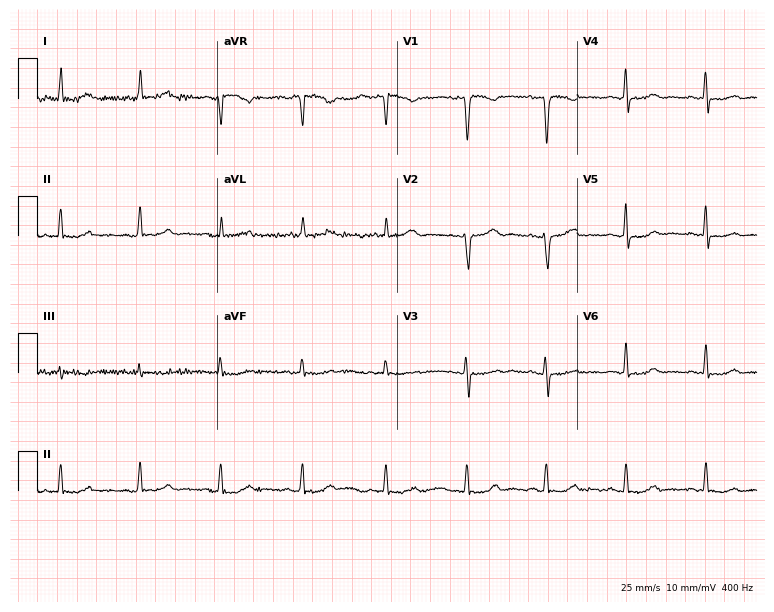
12-lead ECG from a 41-year-old female. Screened for six findings — first-degree AV block, right bundle branch block, left bundle branch block, sinus bradycardia, atrial fibrillation, sinus tachycardia — none is recorded. Other findings, if any, are not listed.